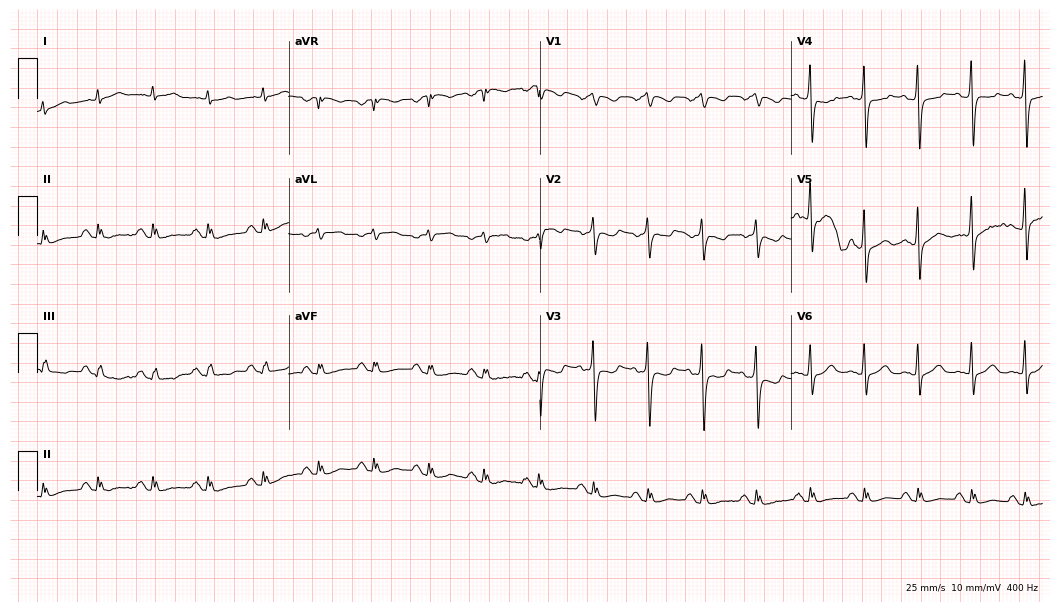
Standard 12-lead ECG recorded from a 66-year-old man. None of these six findings is recorded: first-degree AV block, right bundle branch block (RBBB), left bundle branch block (LBBB), sinus bradycardia, atrial fibrillation (AF), sinus tachycardia. Only these six findings were labelled.